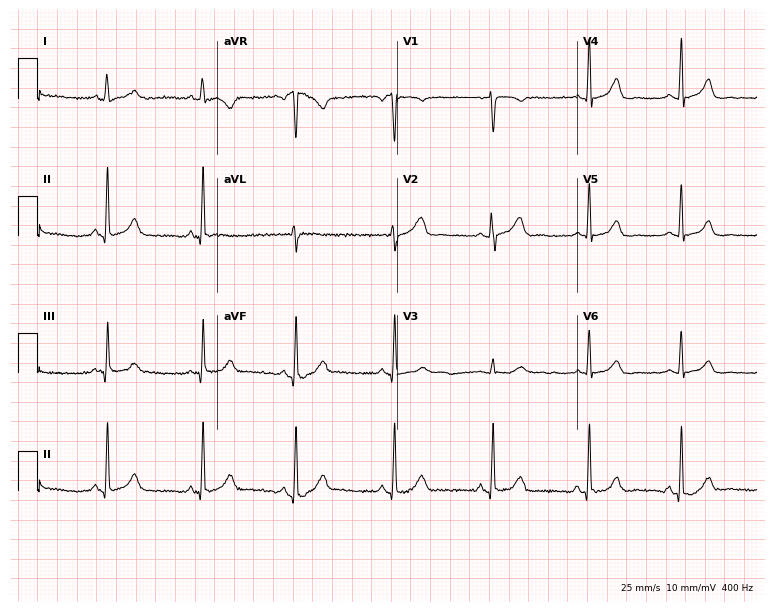
12-lead ECG from a 41-year-old woman. Labelled as a normal ECG.